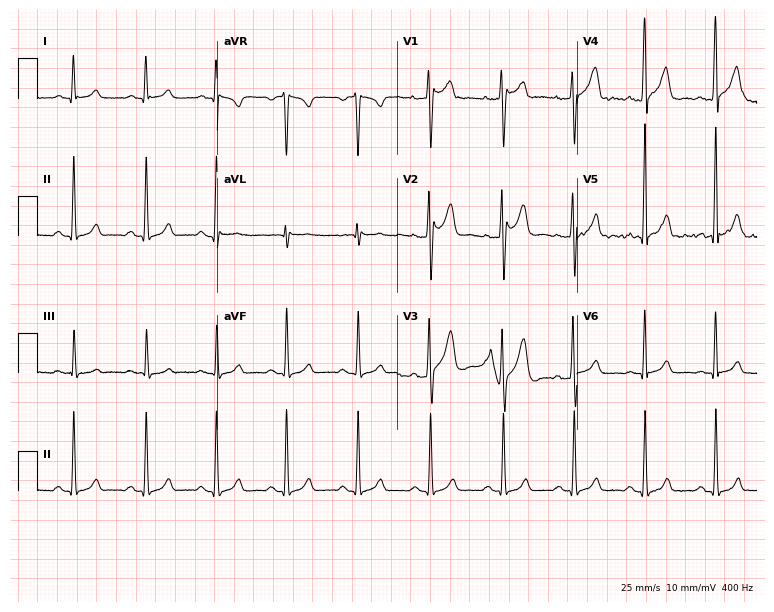
12-lead ECG from a 27-year-old male. Recorded interpretation: within normal limits.